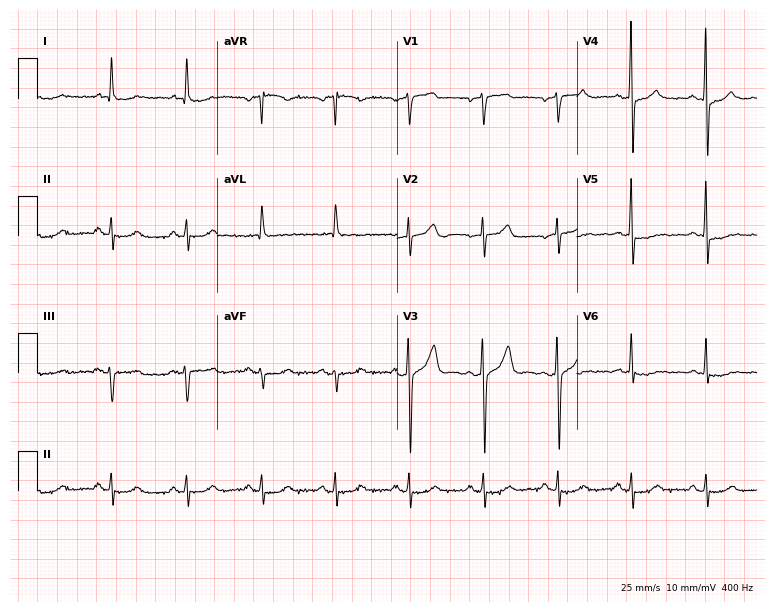
Standard 12-lead ECG recorded from a man, 76 years old (7.3-second recording at 400 Hz). Read as a normal ECG.